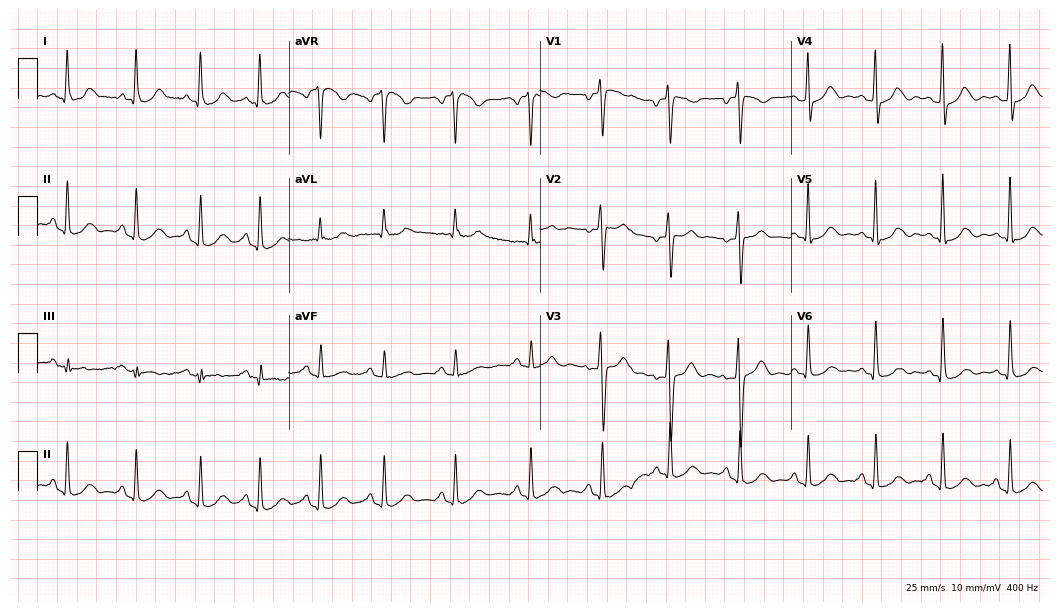
Resting 12-lead electrocardiogram. Patient: a 48-year-old woman. Read as a normal ECG.